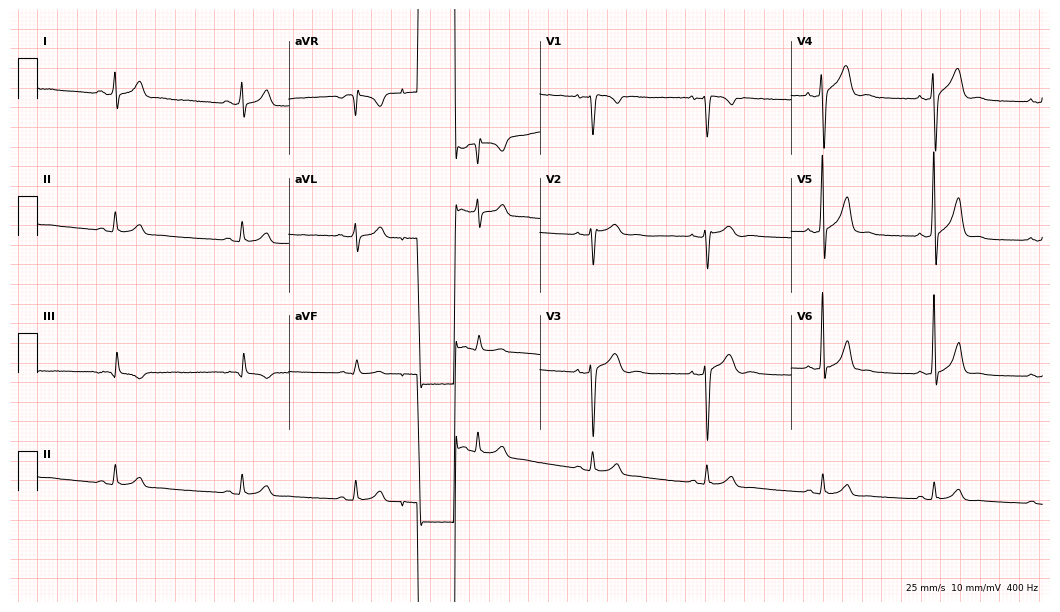
Resting 12-lead electrocardiogram. Patient: a 23-year-old male. Read as a normal ECG.